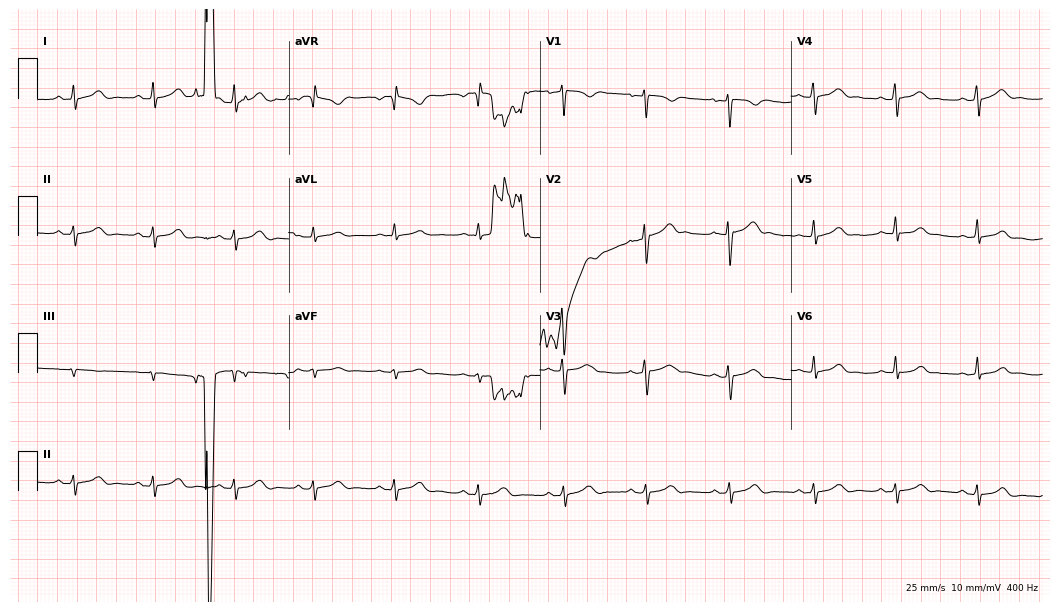
12-lead ECG (10.2-second recording at 400 Hz) from a female, 34 years old. Screened for six findings — first-degree AV block, right bundle branch block, left bundle branch block, sinus bradycardia, atrial fibrillation, sinus tachycardia — none is recorded.